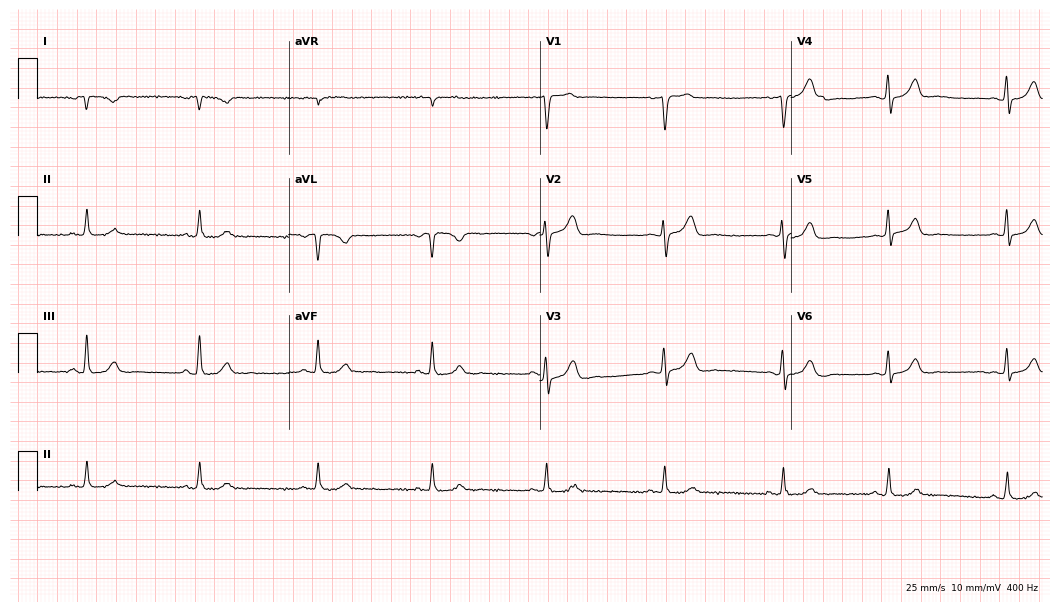
Standard 12-lead ECG recorded from a woman, 33 years old (10.2-second recording at 400 Hz). None of these six findings is recorded: first-degree AV block, right bundle branch block (RBBB), left bundle branch block (LBBB), sinus bradycardia, atrial fibrillation (AF), sinus tachycardia.